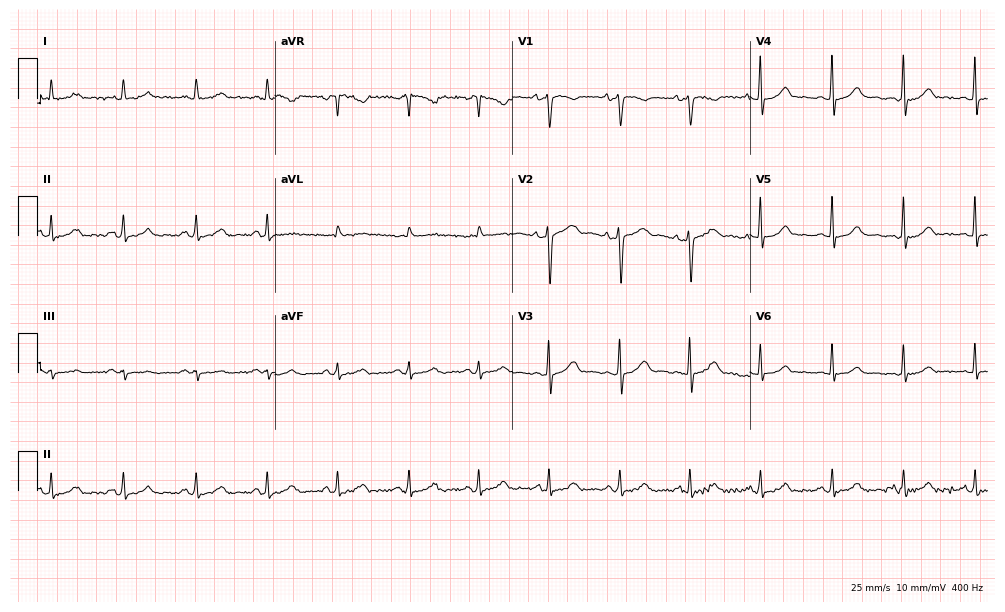
12-lead ECG from a female, 44 years old (9.7-second recording at 400 Hz). Recorded interpretation: within normal limits.